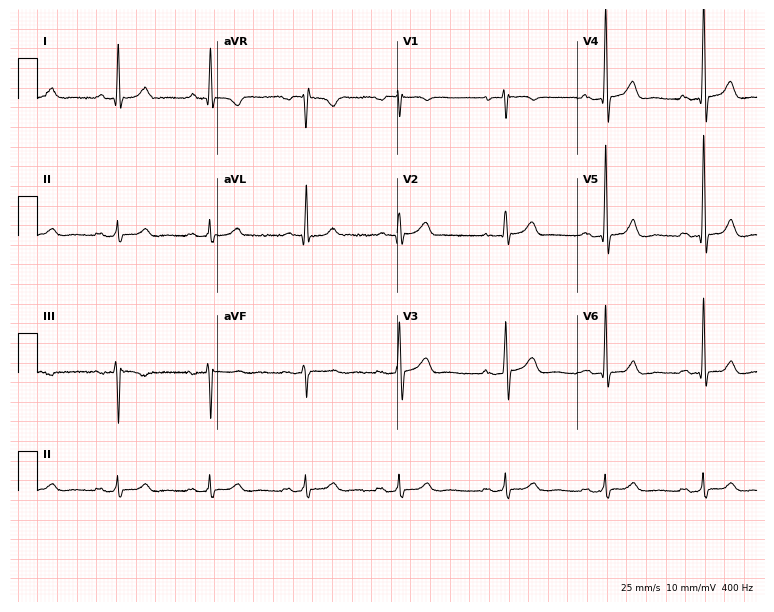
Electrocardiogram, a 75-year-old man. Overall reading on record: normal ECG.